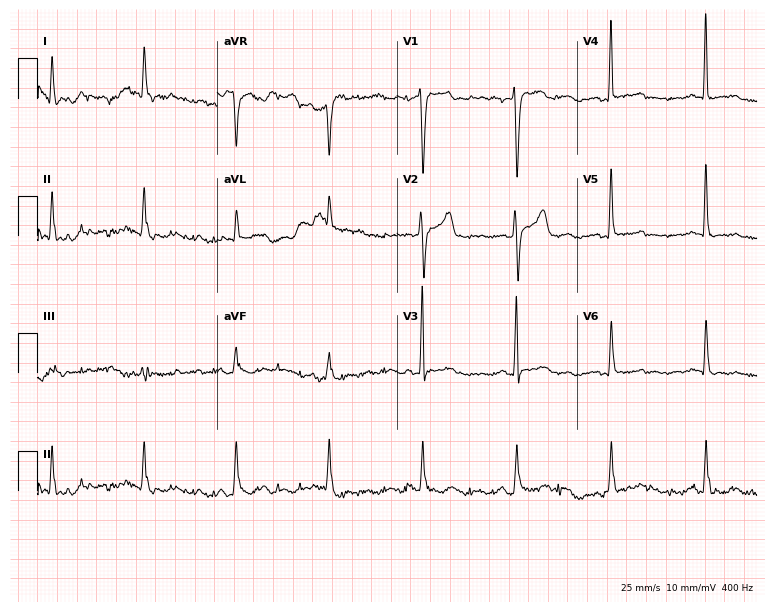
Standard 12-lead ECG recorded from a man, 65 years old. Read as a normal ECG.